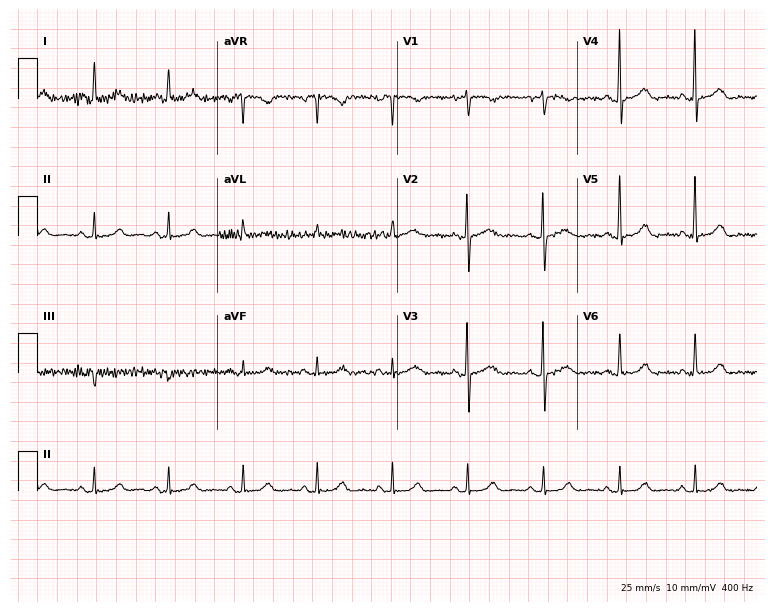
ECG (7.3-second recording at 400 Hz) — a woman, 78 years old. Screened for six findings — first-degree AV block, right bundle branch block (RBBB), left bundle branch block (LBBB), sinus bradycardia, atrial fibrillation (AF), sinus tachycardia — none is recorded. Findings outside these six are not listed.